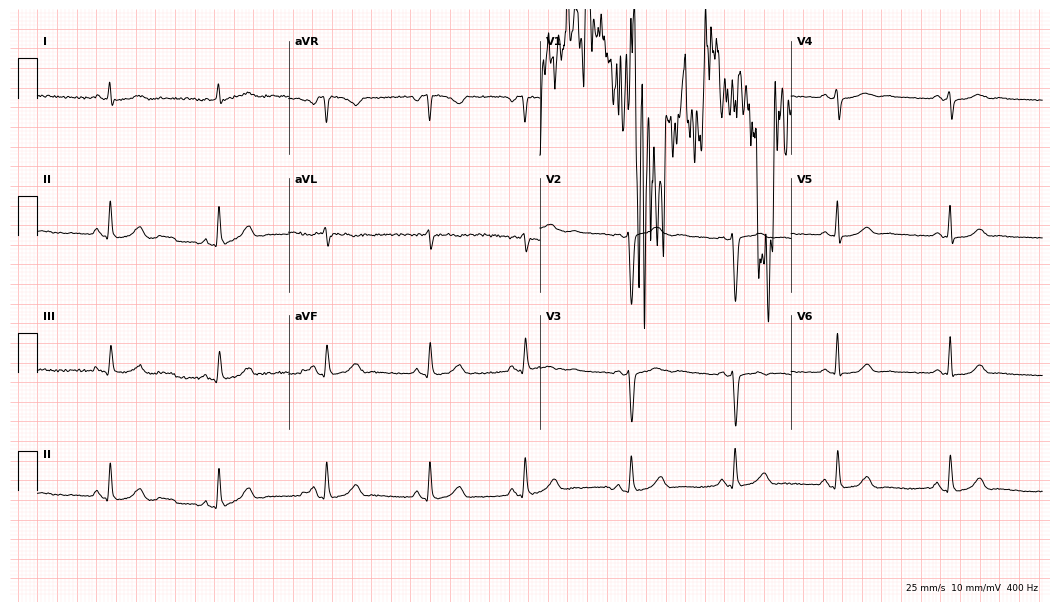
ECG (10.2-second recording at 400 Hz) — a 46-year-old woman. Screened for six findings — first-degree AV block, right bundle branch block, left bundle branch block, sinus bradycardia, atrial fibrillation, sinus tachycardia — none is recorded. Only these six findings were labelled.